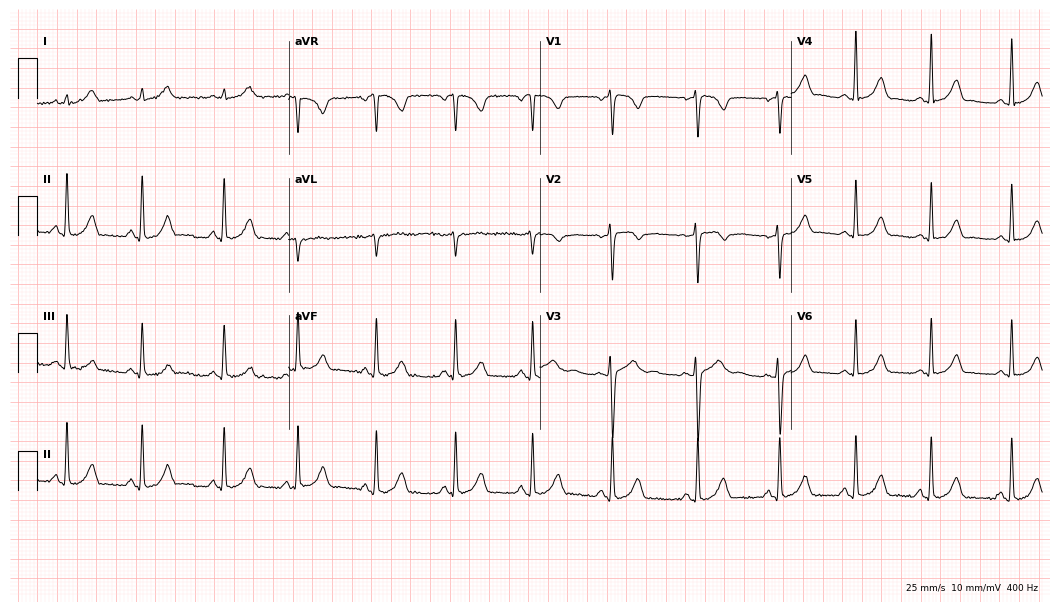
Resting 12-lead electrocardiogram. Patient: a female, 24 years old. Read as a normal ECG.